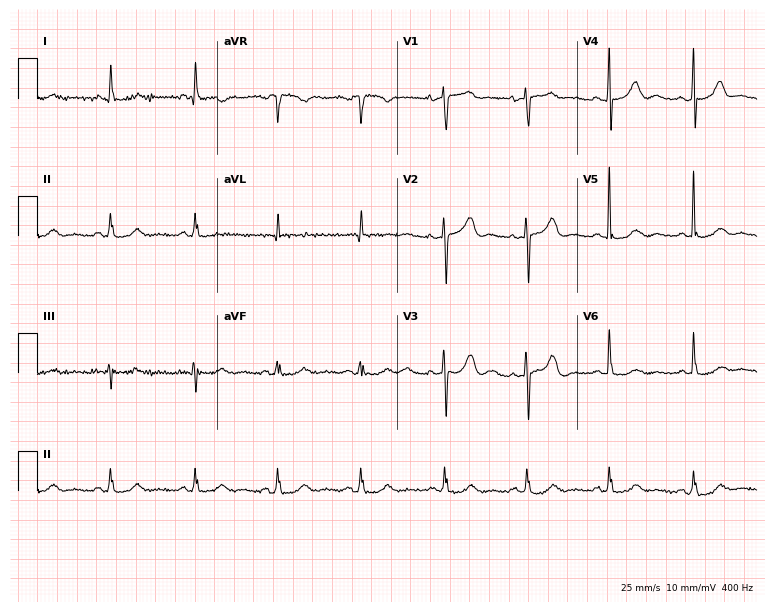
ECG (7.3-second recording at 400 Hz) — a woman, 83 years old. Screened for six findings — first-degree AV block, right bundle branch block, left bundle branch block, sinus bradycardia, atrial fibrillation, sinus tachycardia — none is recorded. Findings outside these six are not listed.